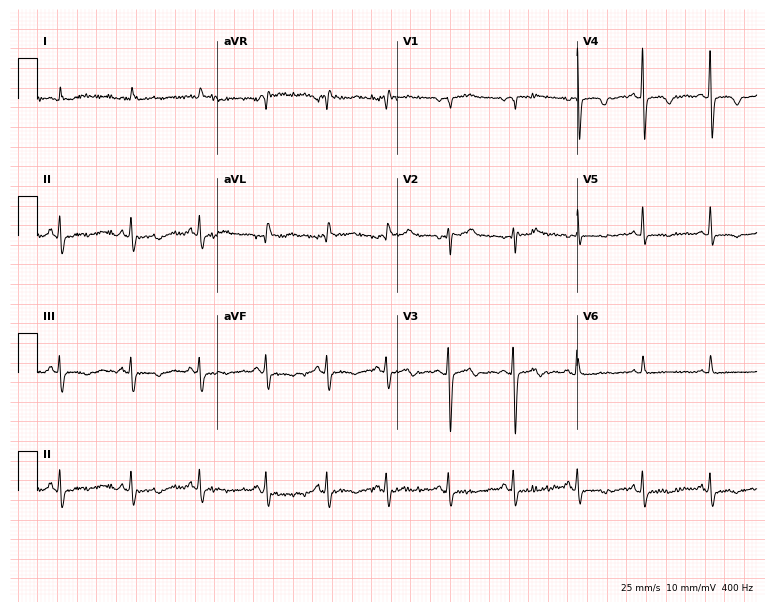
12-lead ECG from a 48-year-old female patient. No first-degree AV block, right bundle branch block, left bundle branch block, sinus bradycardia, atrial fibrillation or sinus tachycardia recorded for this tracing. Only these six findings were labelled.